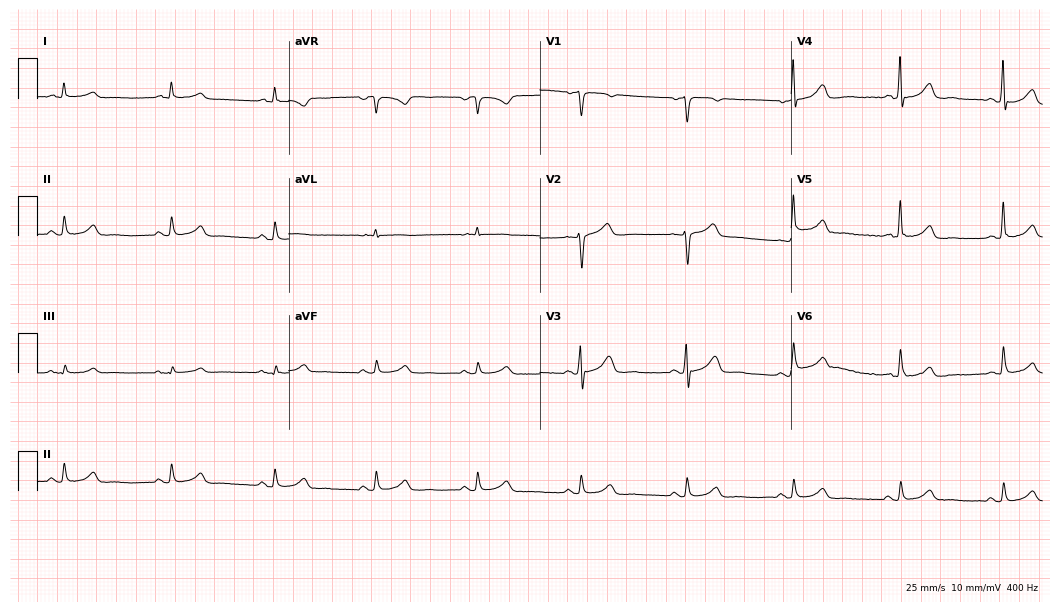
ECG — a male, 81 years old. Labelled as a normal ECG.